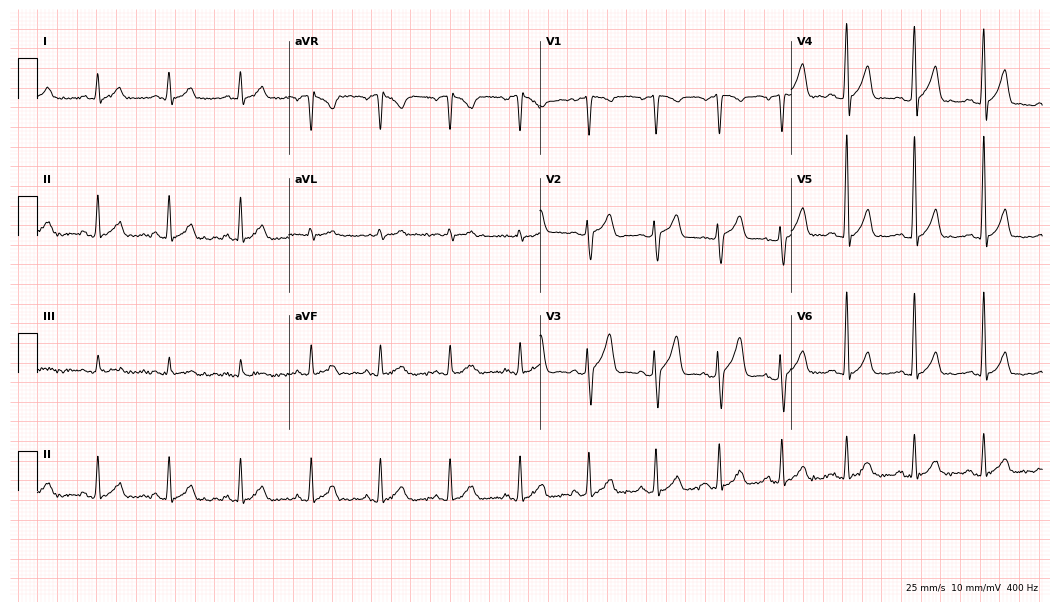
Resting 12-lead electrocardiogram (10.2-second recording at 400 Hz). Patient: a 47-year-old male. Read as a normal ECG.